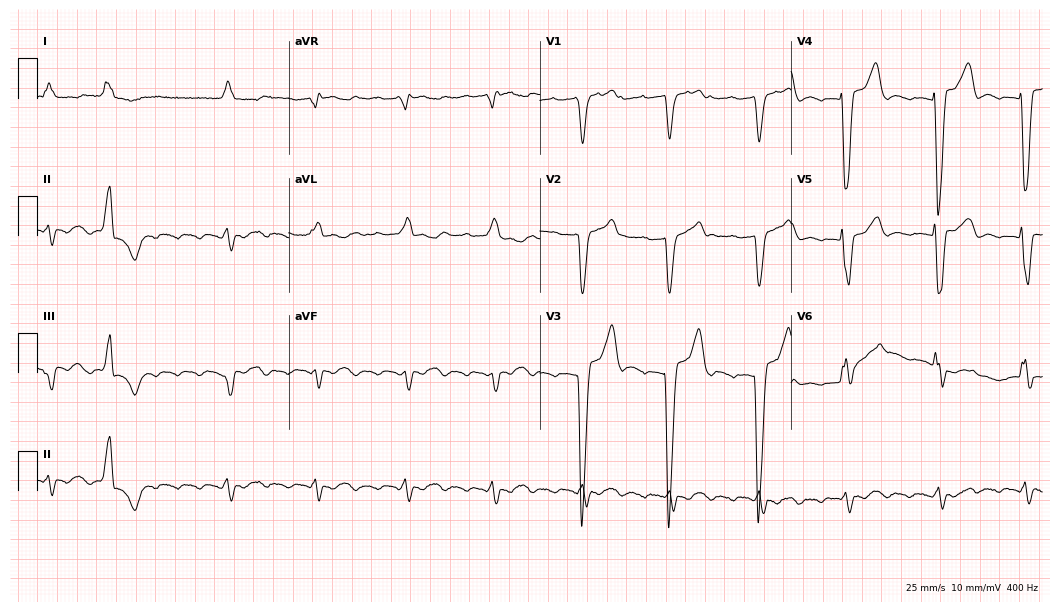
ECG (10.2-second recording at 400 Hz) — a male patient, 76 years old. Findings include left bundle branch block (LBBB), atrial fibrillation (AF).